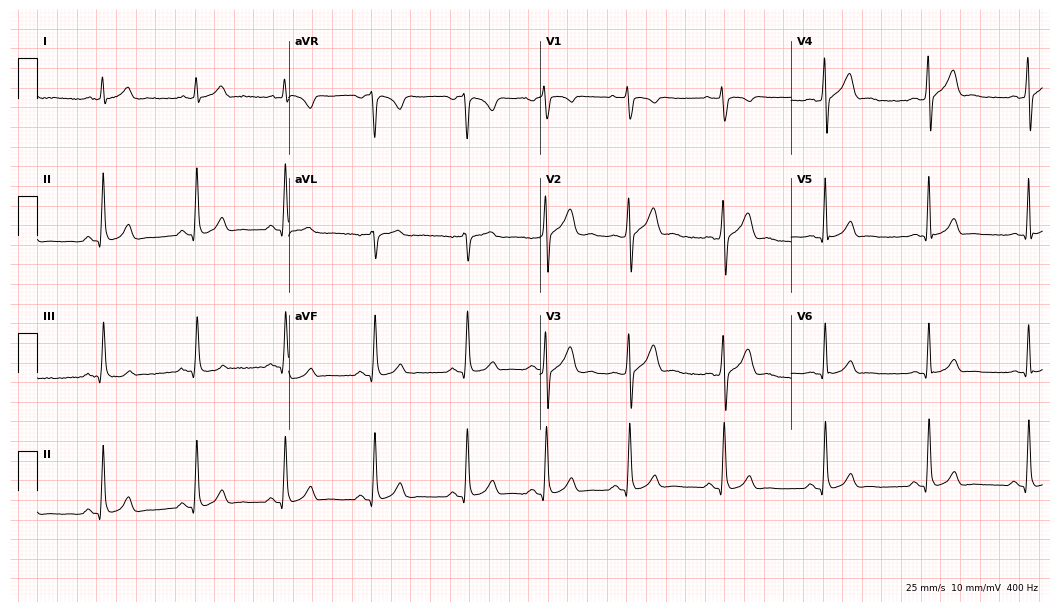
Resting 12-lead electrocardiogram (10.2-second recording at 400 Hz). Patient: a man, 29 years old. None of these six findings is recorded: first-degree AV block, right bundle branch block, left bundle branch block, sinus bradycardia, atrial fibrillation, sinus tachycardia.